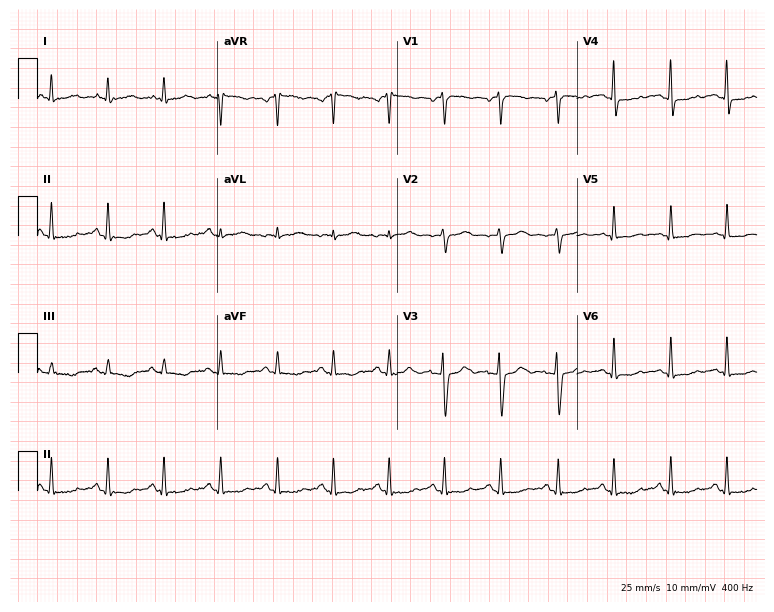
Resting 12-lead electrocardiogram (7.3-second recording at 400 Hz). Patient: a 45-year-old female. None of these six findings is recorded: first-degree AV block, right bundle branch block, left bundle branch block, sinus bradycardia, atrial fibrillation, sinus tachycardia. Other findings, if any, are not listed.